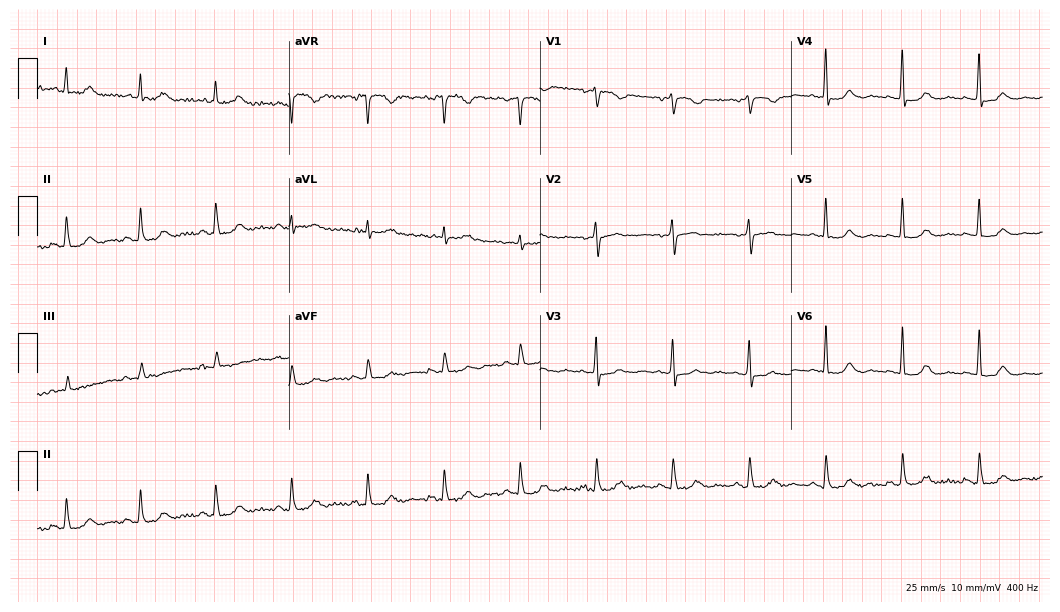
Electrocardiogram (10.2-second recording at 400 Hz), a female patient, 81 years old. Overall reading on record: normal ECG.